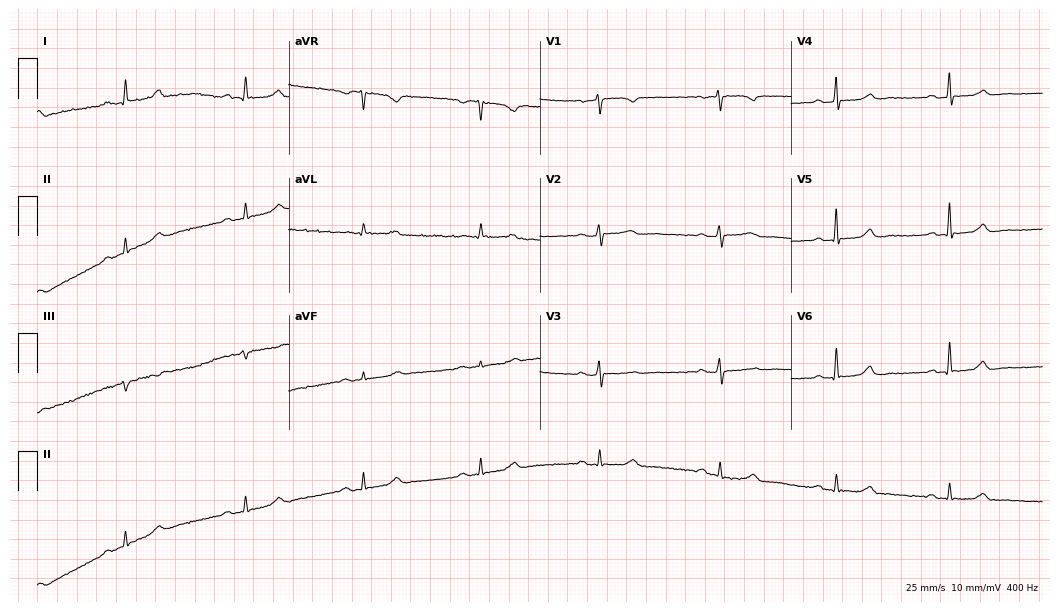
12-lead ECG from a 71-year-old female. Findings include sinus bradycardia (a sinus rate of 50 beats per minute or less).